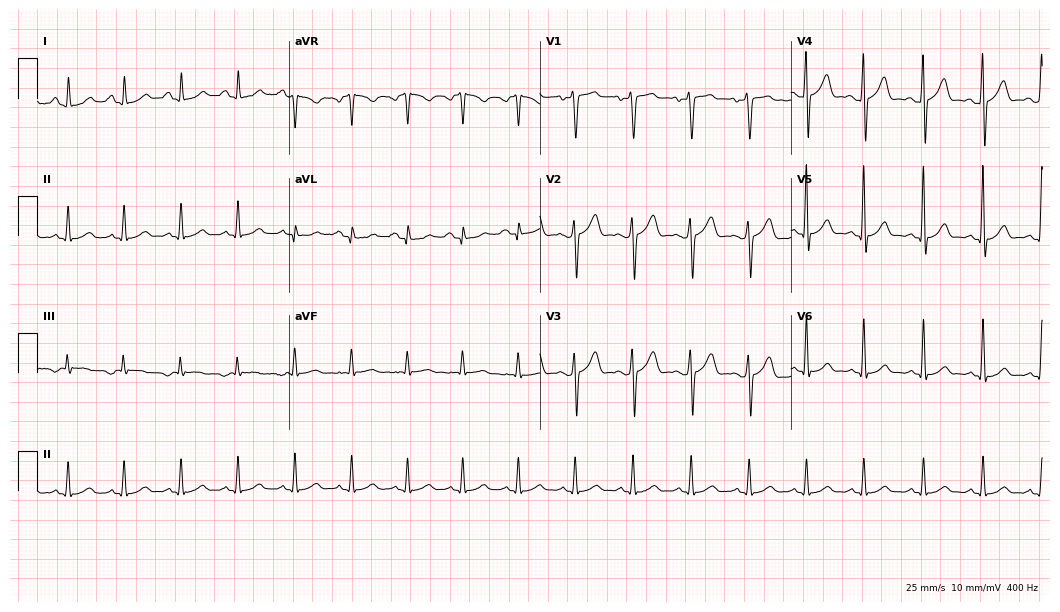
Standard 12-lead ECG recorded from a 55-year-old man (10.2-second recording at 400 Hz). The tracing shows sinus tachycardia (a sinus rate of 100 beats per minute or more).